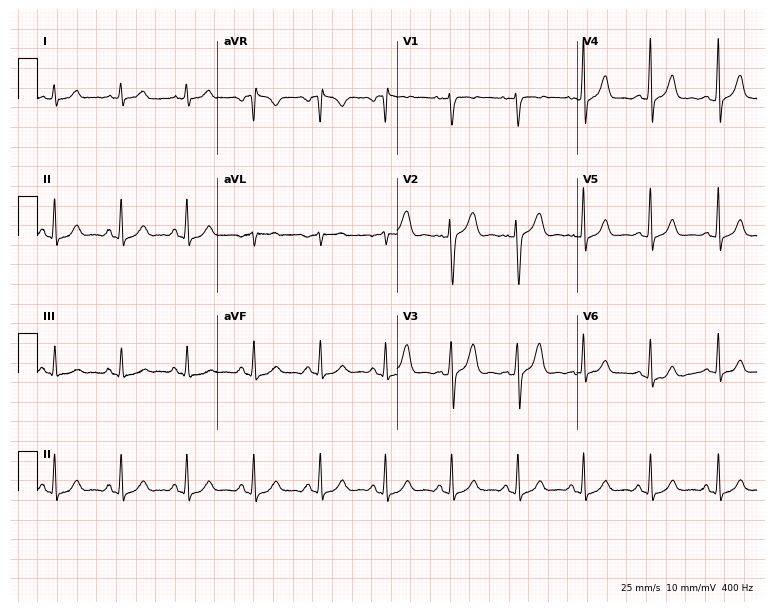
12-lead ECG from a 30-year-old female patient (7.3-second recording at 400 Hz). Recorded interpretation: within normal limits.